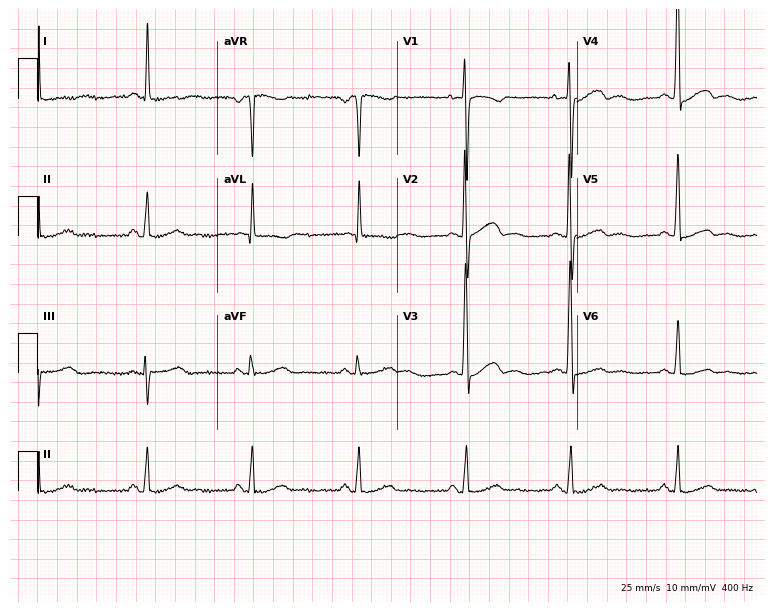
Standard 12-lead ECG recorded from a 46-year-old female patient (7.3-second recording at 400 Hz). None of these six findings is recorded: first-degree AV block, right bundle branch block (RBBB), left bundle branch block (LBBB), sinus bradycardia, atrial fibrillation (AF), sinus tachycardia.